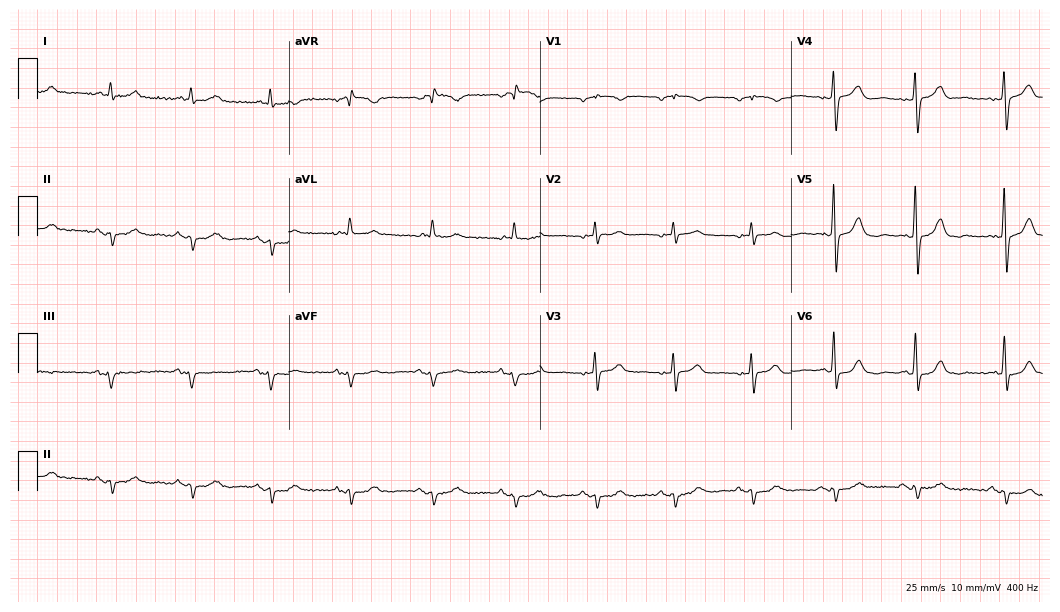
Electrocardiogram (10.2-second recording at 400 Hz), a man, 83 years old. Of the six screened findings (first-degree AV block, right bundle branch block, left bundle branch block, sinus bradycardia, atrial fibrillation, sinus tachycardia), none is recorded.